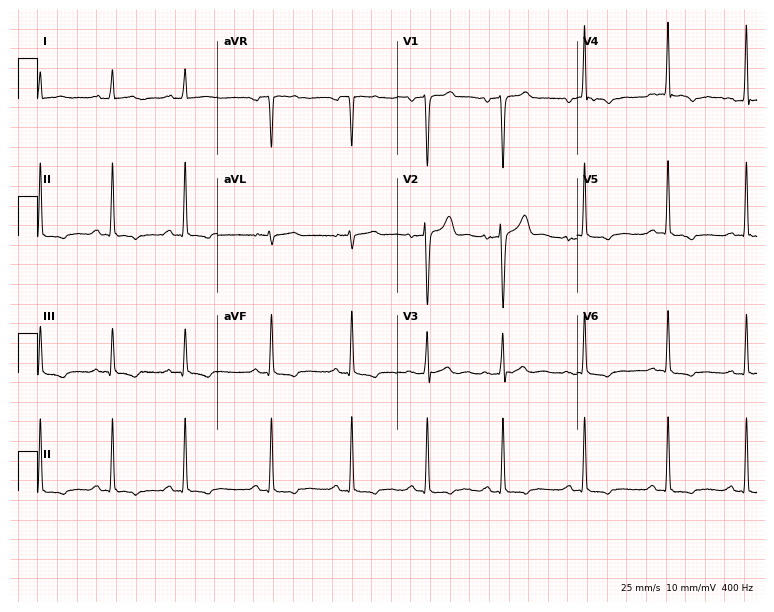
Standard 12-lead ECG recorded from a man, 34 years old (7.3-second recording at 400 Hz). None of these six findings is recorded: first-degree AV block, right bundle branch block, left bundle branch block, sinus bradycardia, atrial fibrillation, sinus tachycardia. Other findings, if any, are not listed.